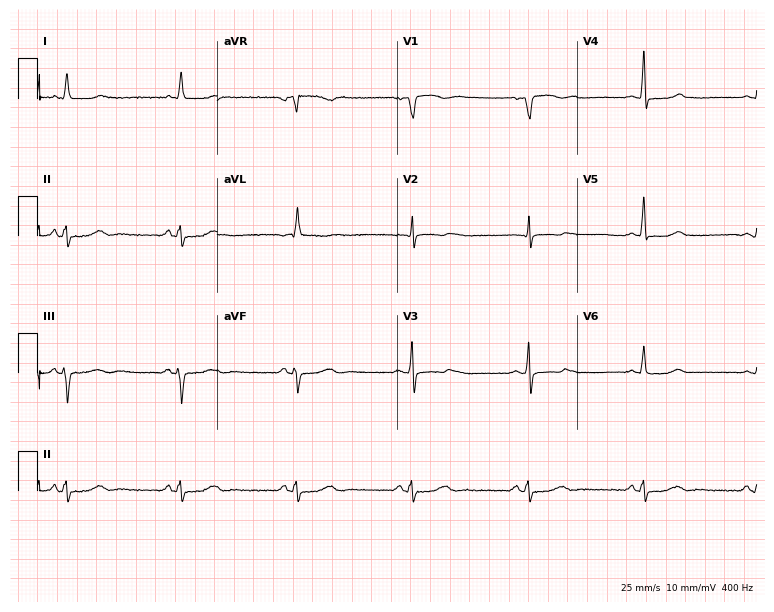
Standard 12-lead ECG recorded from a 70-year-old male patient (7.3-second recording at 400 Hz). None of these six findings is recorded: first-degree AV block, right bundle branch block, left bundle branch block, sinus bradycardia, atrial fibrillation, sinus tachycardia. Findings outside these six are not listed.